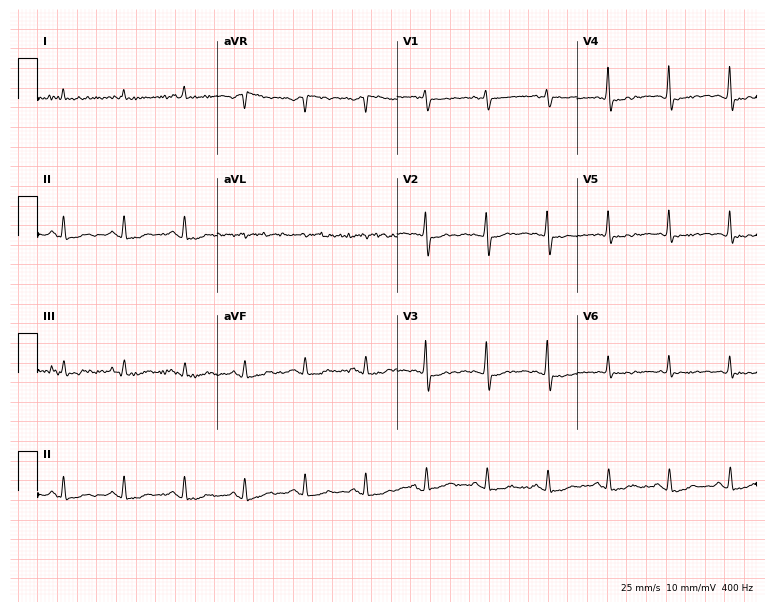
Resting 12-lead electrocardiogram. Patient: an 80-year-old male. None of these six findings is recorded: first-degree AV block, right bundle branch block, left bundle branch block, sinus bradycardia, atrial fibrillation, sinus tachycardia. Only these six findings were labelled.